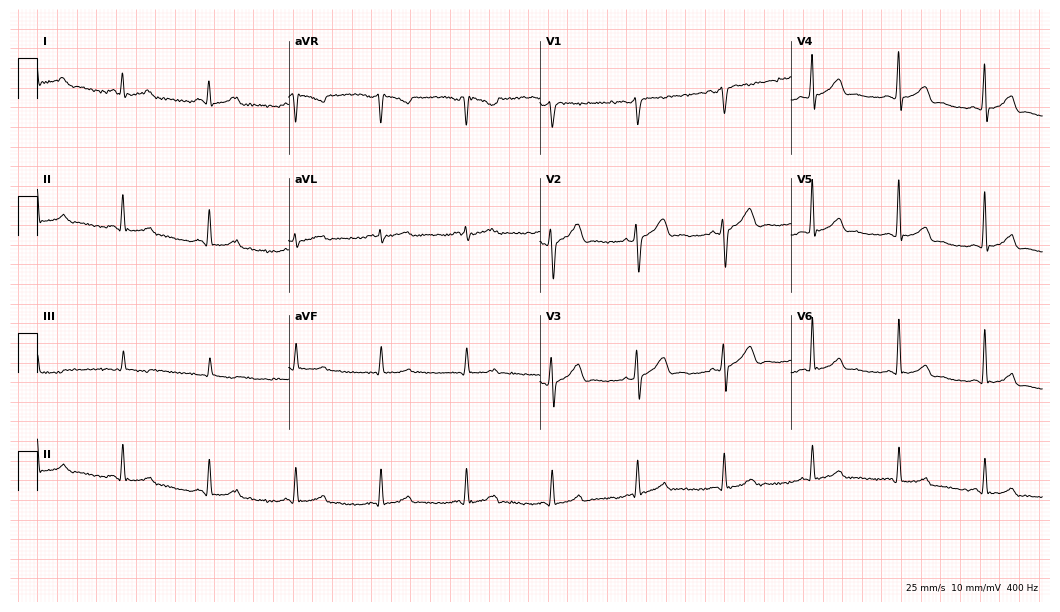
12-lead ECG (10.2-second recording at 400 Hz) from a man, 44 years old. Labelled as a normal ECG.